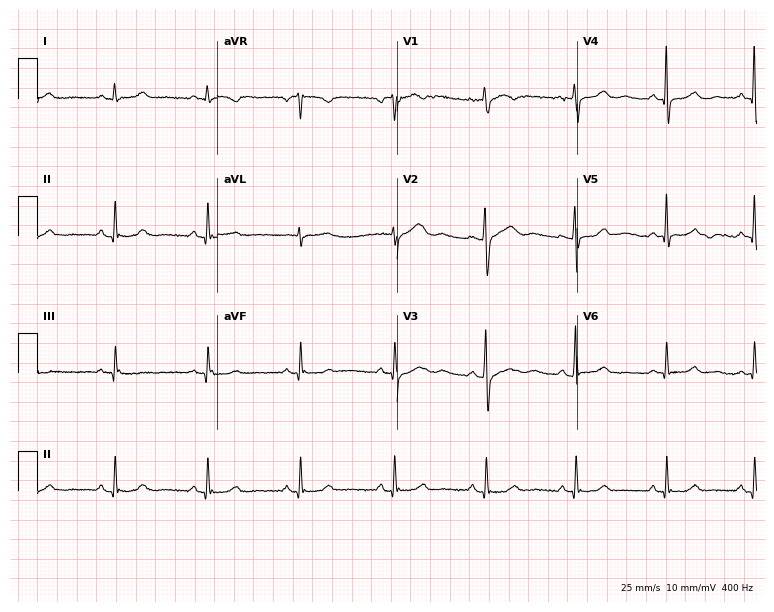
Electrocardiogram (7.3-second recording at 400 Hz), a 62-year-old woman. Overall reading on record: normal ECG.